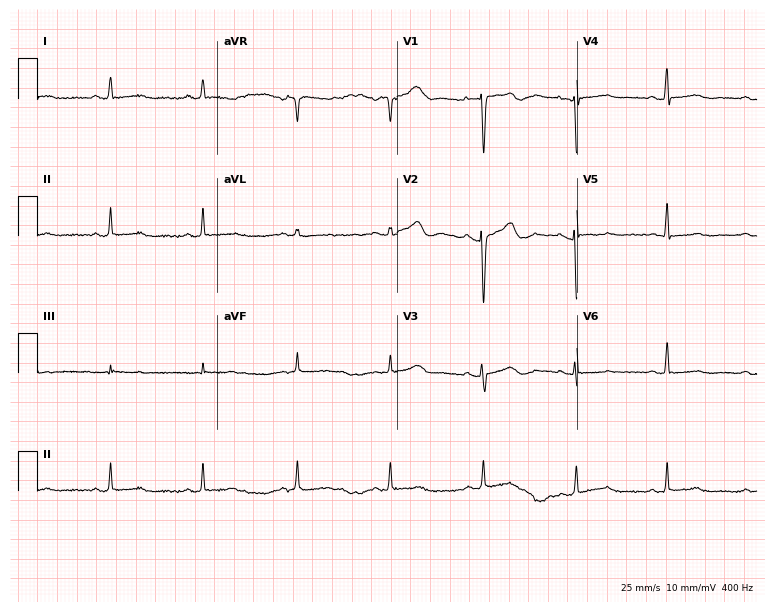
Electrocardiogram, a 40-year-old female patient. Of the six screened findings (first-degree AV block, right bundle branch block, left bundle branch block, sinus bradycardia, atrial fibrillation, sinus tachycardia), none is recorded. Only these six findings were labelled.